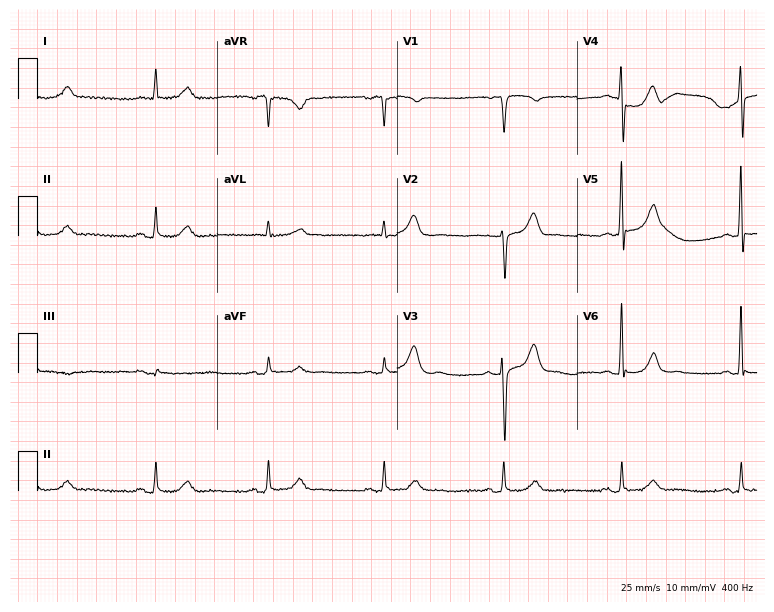
ECG — a 72-year-old male patient. Labelled as a normal ECG.